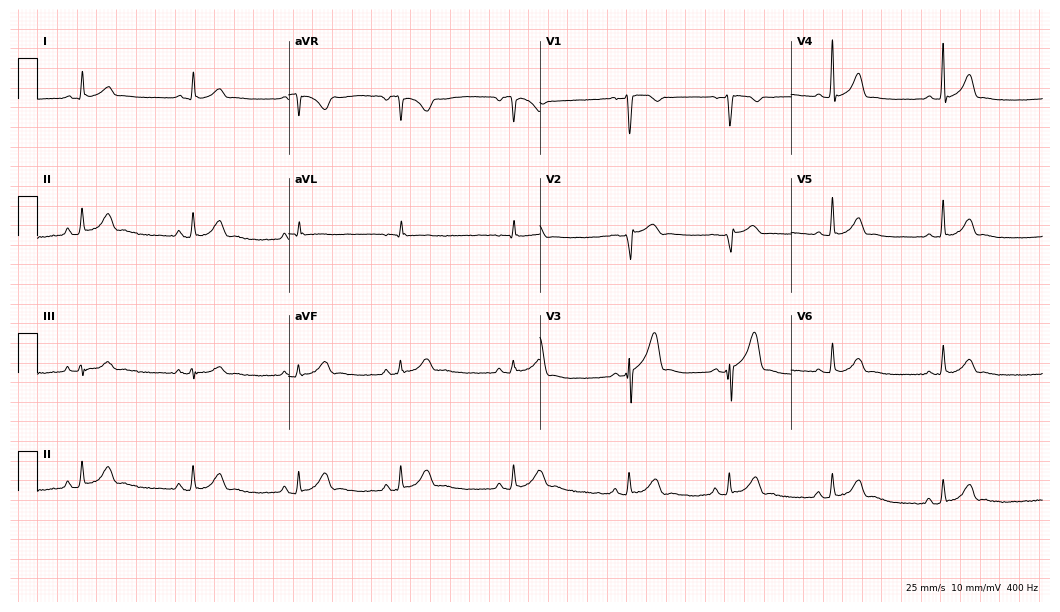
Electrocardiogram (10.2-second recording at 400 Hz), a male patient, 21 years old. Of the six screened findings (first-degree AV block, right bundle branch block (RBBB), left bundle branch block (LBBB), sinus bradycardia, atrial fibrillation (AF), sinus tachycardia), none is recorded. Only these six findings were labelled.